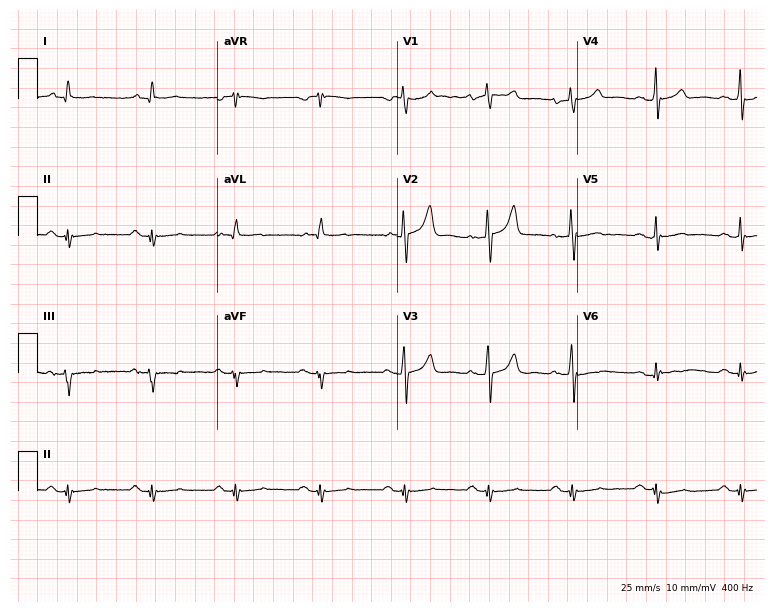
12-lead ECG (7.3-second recording at 400 Hz) from a male, 72 years old. Labelled as a normal ECG.